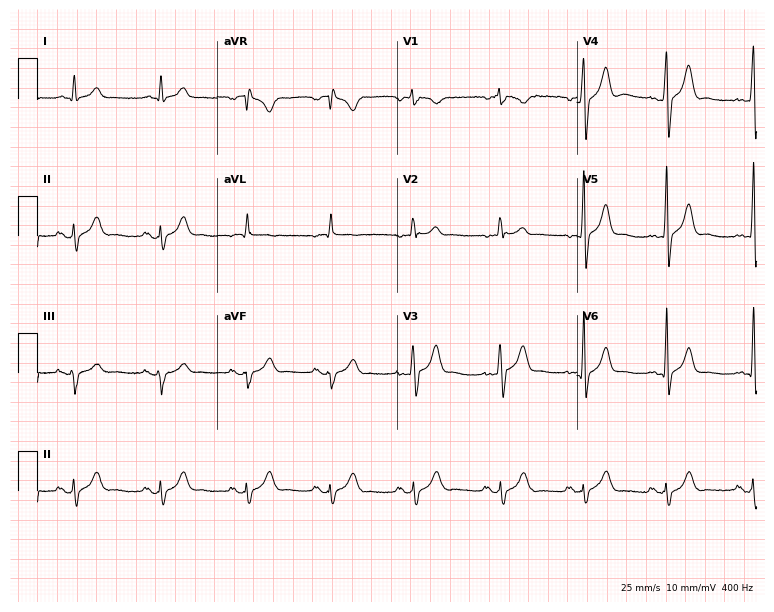
ECG — a 47-year-old male patient. Screened for six findings — first-degree AV block, right bundle branch block, left bundle branch block, sinus bradycardia, atrial fibrillation, sinus tachycardia — none is recorded. Other findings, if any, are not listed.